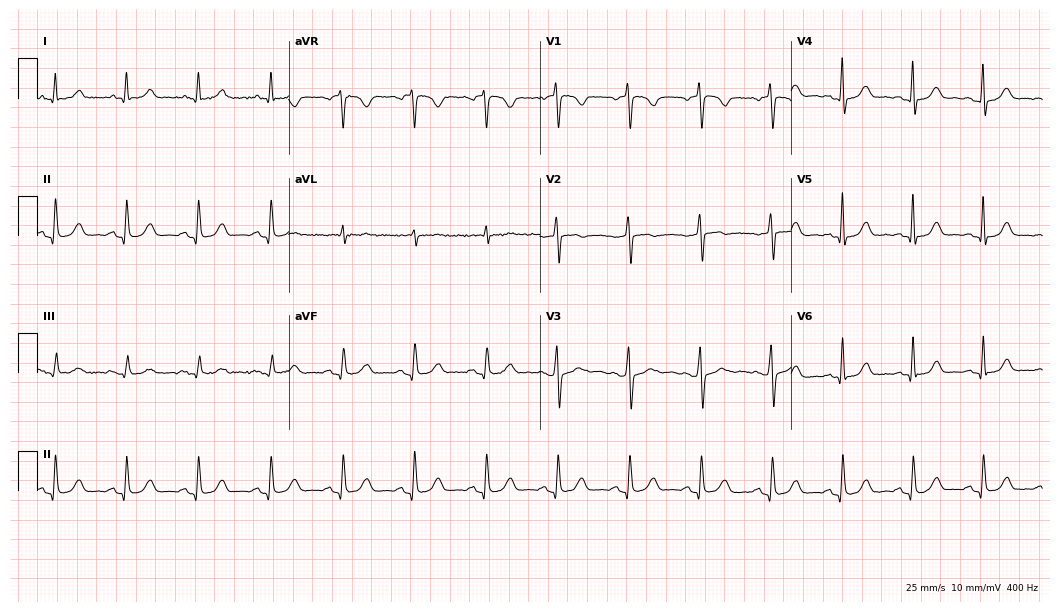
12-lead ECG from a 53-year-old female (10.2-second recording at 400 Hz). Recorded interpretation: within normal limits.